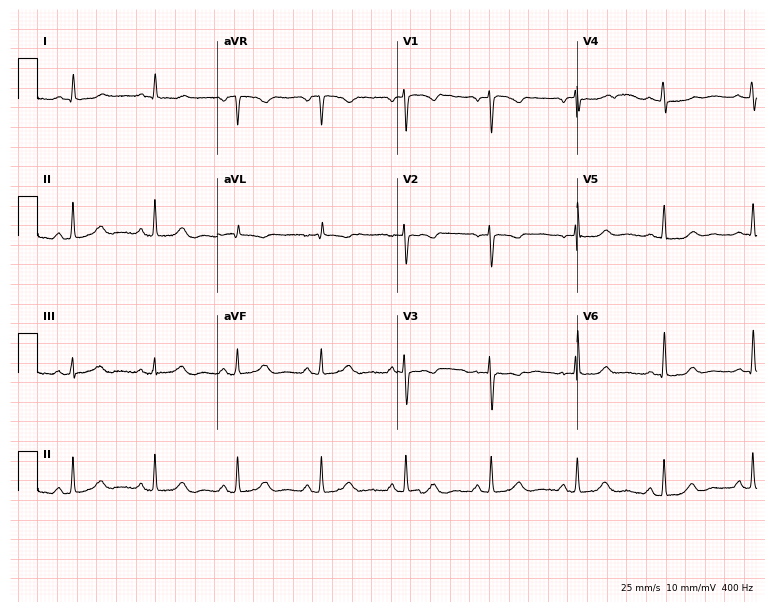
12-lead ECG from a 51-year-old female patient. Labelled as a normal ECG.